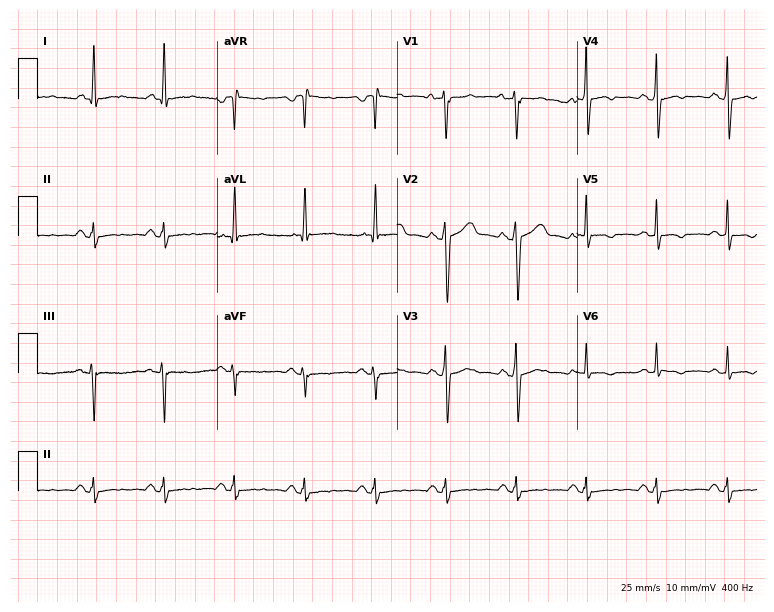
ECG — a 62-year-old man. Screened for six findings — first-degree AV block, right bundle branch block (RBBB), left bundle branch block (LBBB), sinus bradycardia, atrial fibrillation (AF), sinus tachycardia — none is recorded.